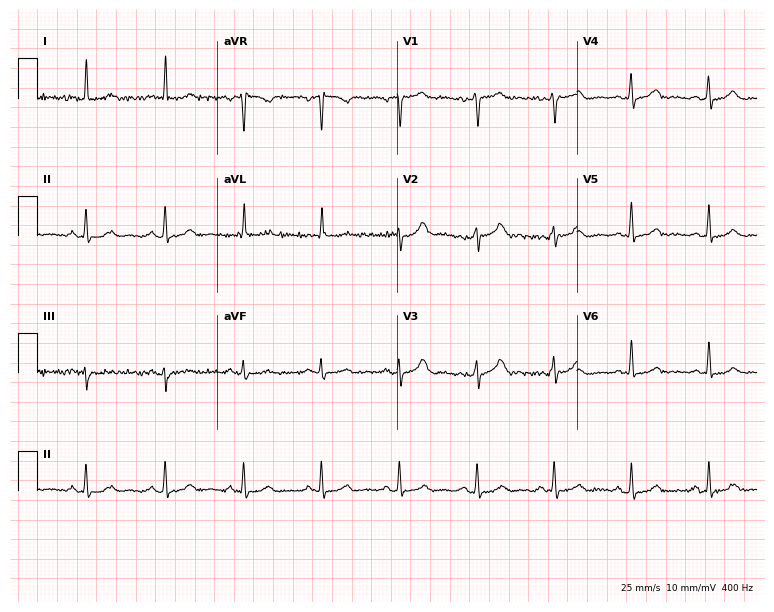
Electrocardiogram, a 43-year-old female patient. Overall reading on record: normal ECG.